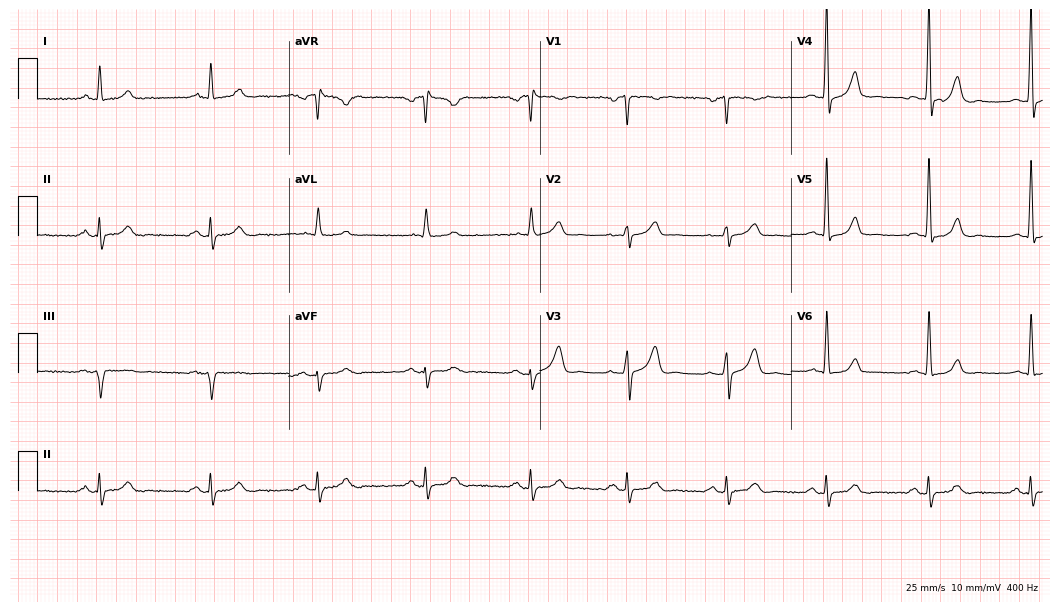
12-lead ECG from a male patient, 59 years old. No first-degree AV block, right bundle branch block, left bundle branch block, sinus bradycardia, atrial fibrillation or sinus tachycardia recorded for this tracing. Other findings, if any, are not listed.